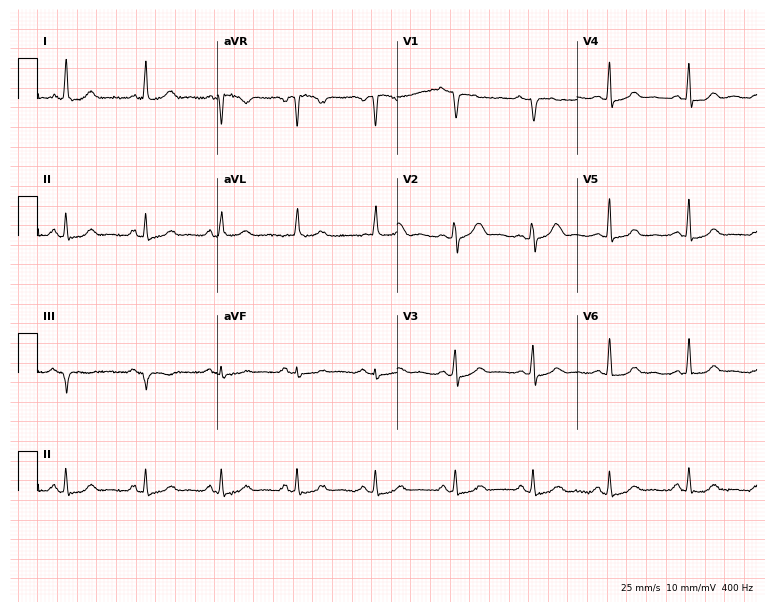
Resting 12-lead electrocardiogram. Patient: a 51-year-old female. Read as a normal ECG.